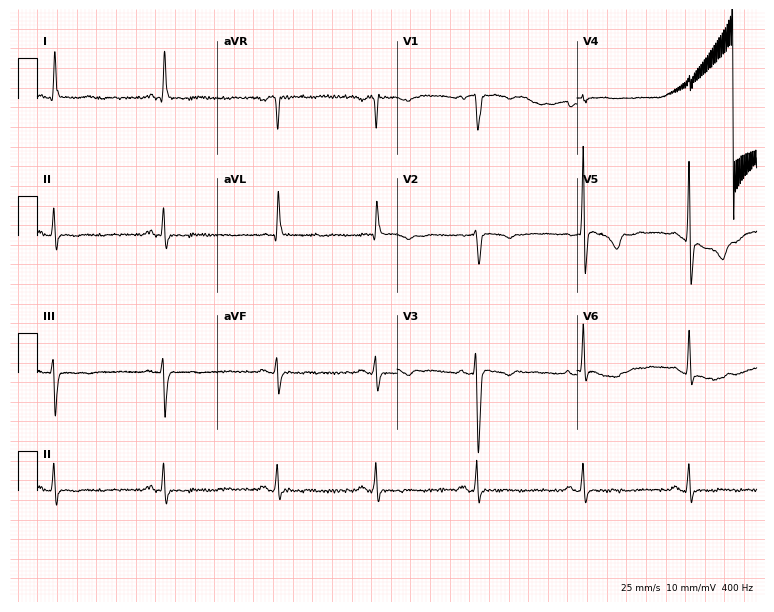
12-lead ECG from a 48-year-old female. No first-degree AV block, right bundle branch block (RBBB), left bundle branch block (LBBB), sinus bradycardia, atrial fibrillation (AF) or sinus tachycardia recorded for this tracing.